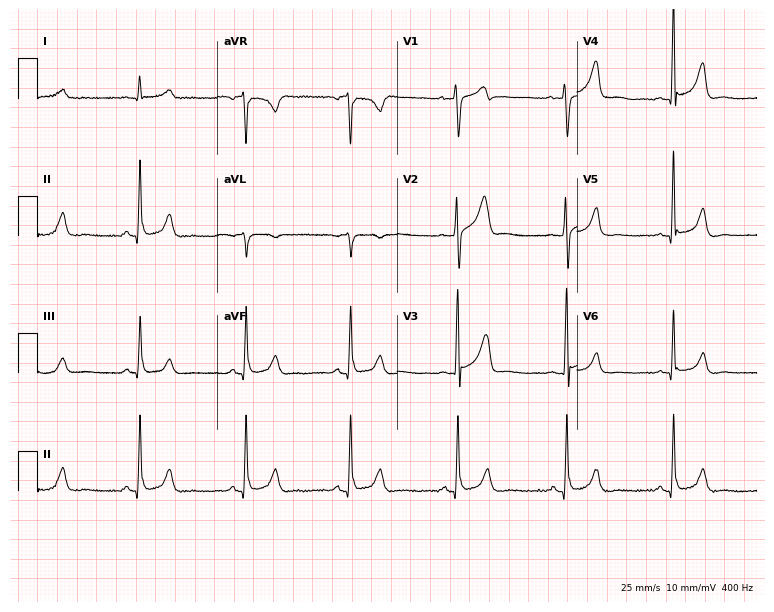
12-lead ECG from a 51-year-old man (7.3-second recording at 400 Hz). No first-degree AV block, right bundle branch block, left bundle branch block, sinus bradycardia, atrial fibrillation or sinus tachycardia recorded for this tracing. Other findings, if any, are not listed.